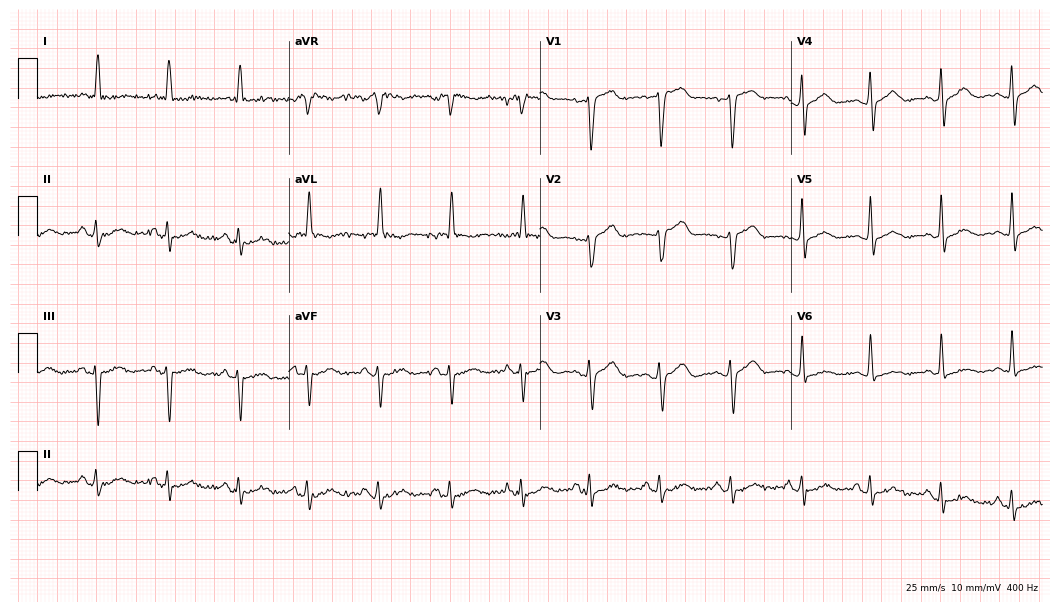
Electrocardiogram, a 70-year-old female. Overall reading on record: normal ECG.